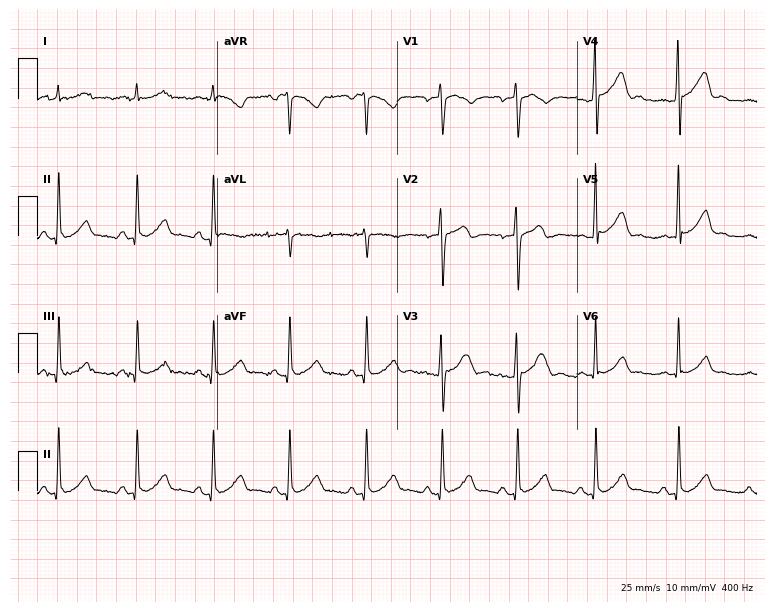
12-lead ECG from a man, 23 years old (7.3-second recording at 400 Hz). Recorded interpretation: within normal limits.